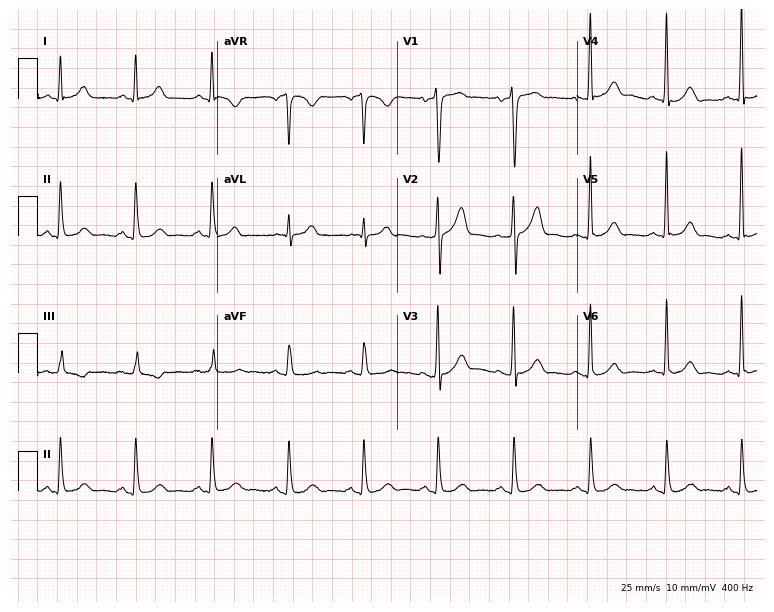
12-lead ECG from a male, 34 years old (7.3-second recording at 400 Hz). Recorded interpretation: within normal limits.